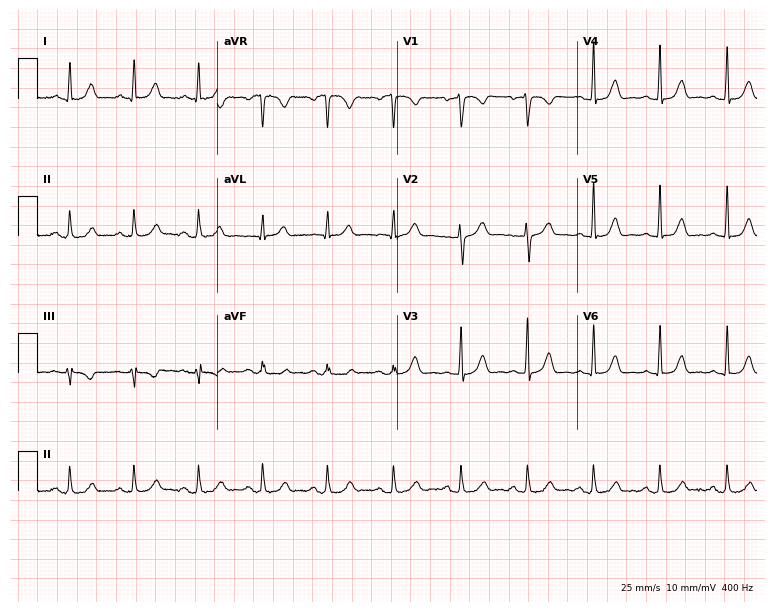
12-lead ECG (7.3-second recording at 400 Hz) from a 42-year-old female patient. Labelled as a normal ECG.